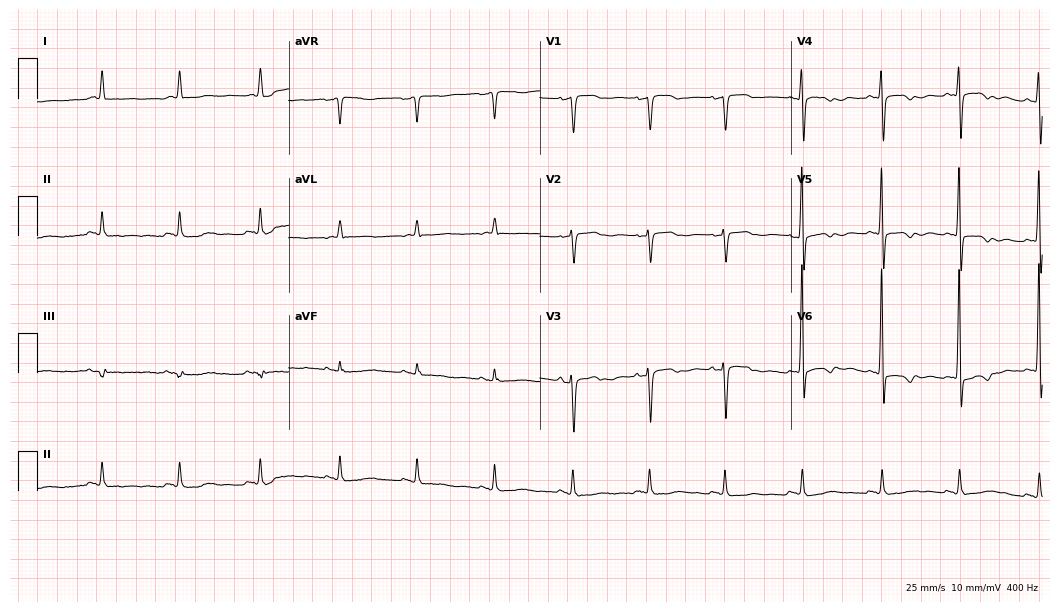
Electrocardiogram, an 80-year-old female patient. Of the six screened findings (first-degree AV block, right bundle branch block, left bundle branch block, sinus bradycardia, atrial fibrillation, sinus tachycardia), none is recorded.